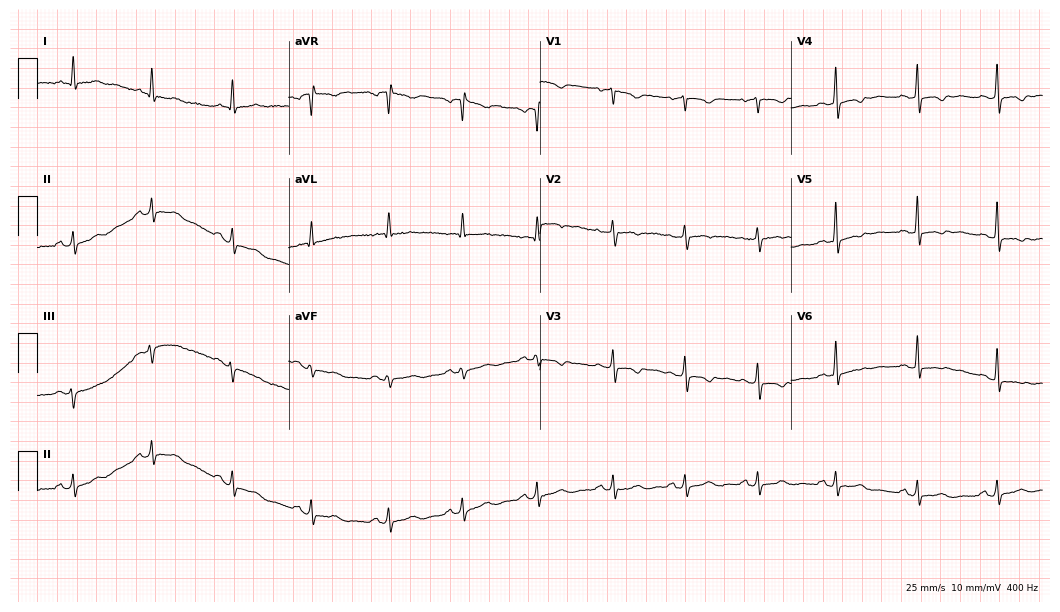
Standard 12-lead ECG recorded from a woman, 50 years old (10.2-second recording at 400 Hz). None of these six findings is recorded: first-degree AV block, right bundle branch block (RBBB), left bundle branch block (LBBB), sinus bradycardia, atrial fibrillation (AF), sinus tachycardia. Findings outside these six are not listed.